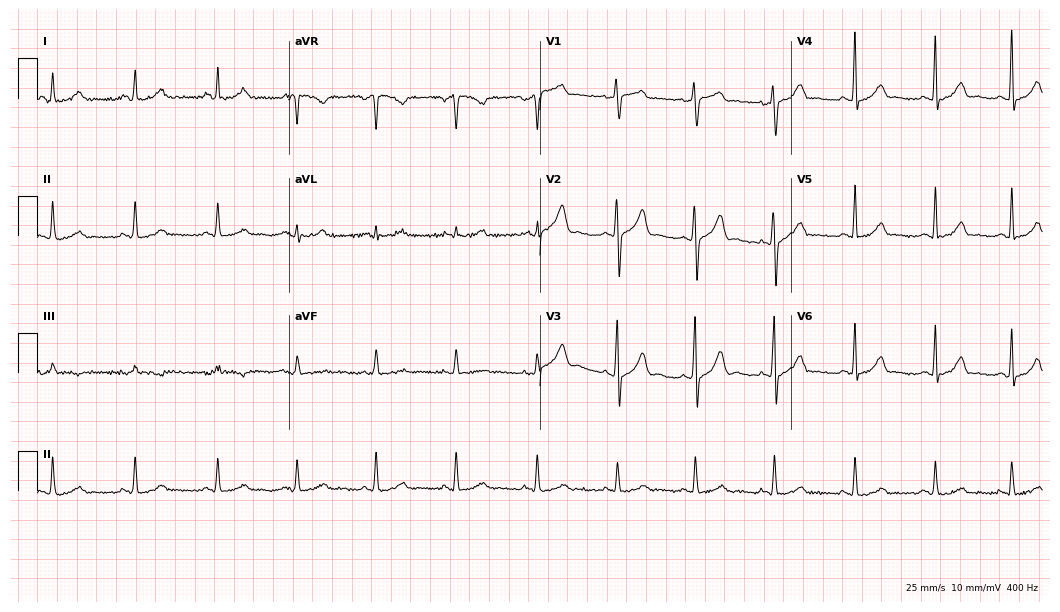
ECG (10.2-second recording at 400 Hz) — a female patient, 46 years old. Screened for six findings — first-degree AV block, right bundle branch block, left bundle branch block, sinus bradycardia, atrial fibrillation, sinus tachycardia — none is recorded.